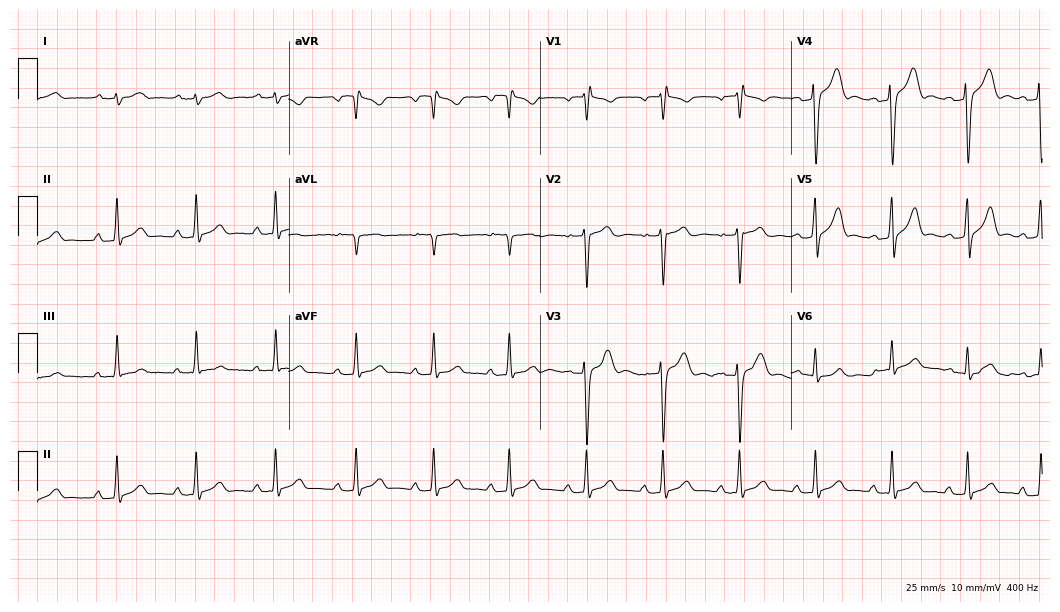
ECG — a 19-year-old male. Screened for six findings — first-degree AV block, right bundle branch block, left bundle branch block, sinus bradycardia, atrial fibrillation, sinus tachycardia — none is recorded.